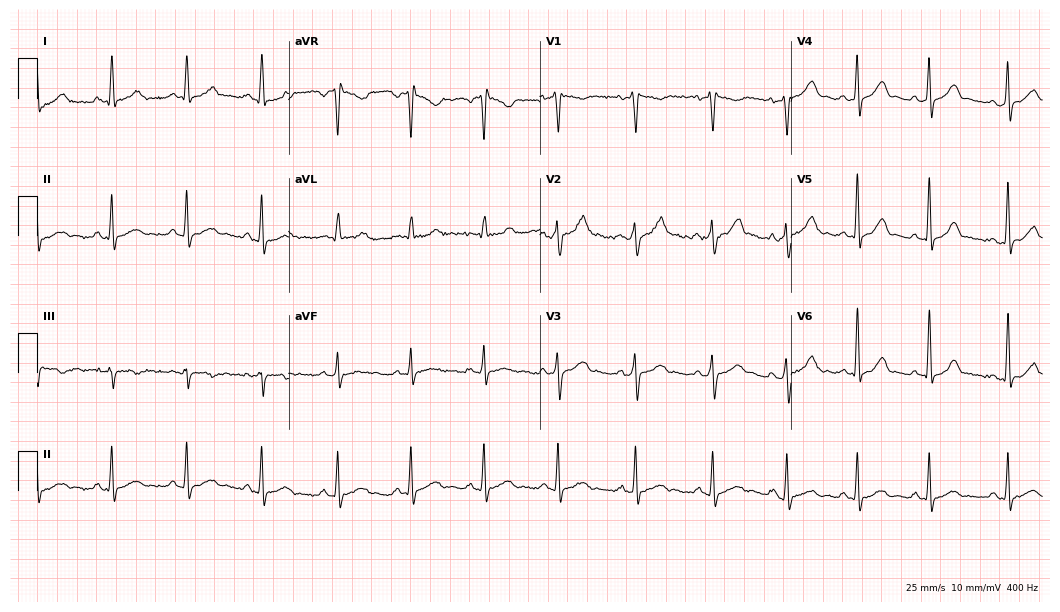
12-lead ECG from a 36-year-old man. Labelled as a normal ECG.